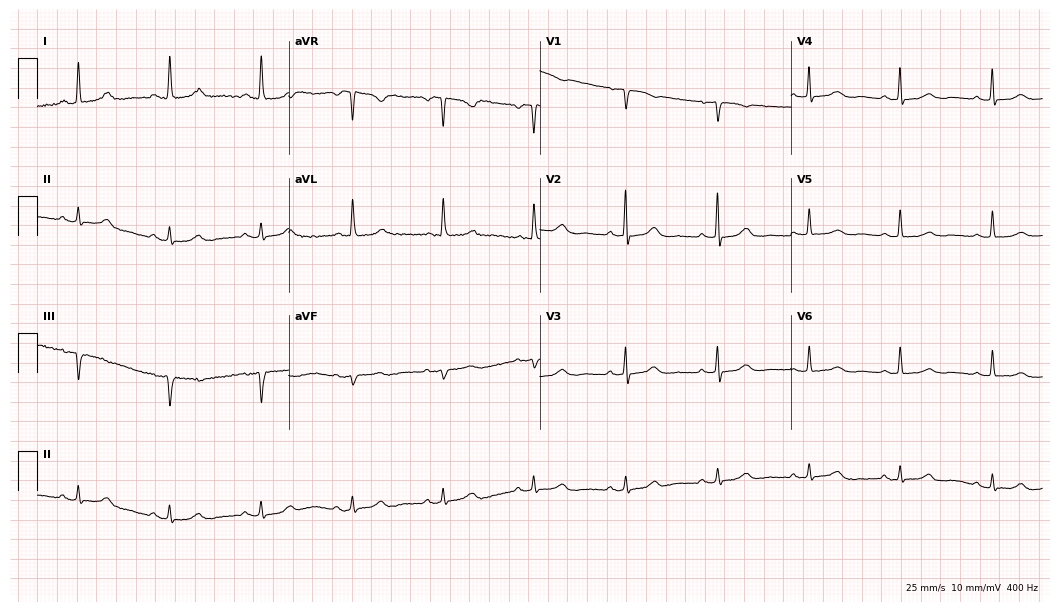
Standard 12-lead ECG recorded from a woman, 77 years old (10.2-second recording at 400 Hz). Read as a normal ECG.